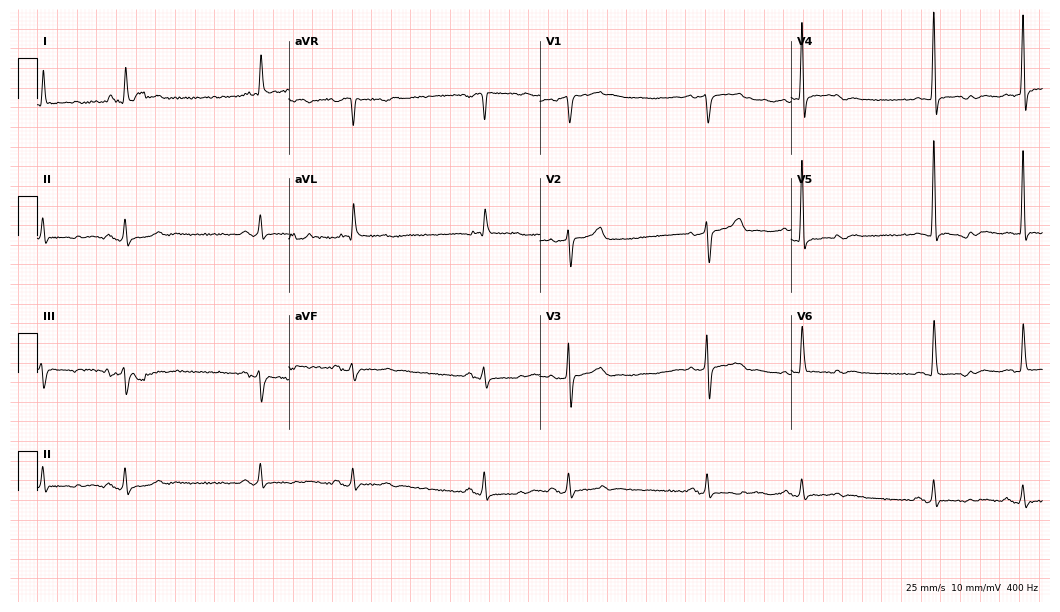
12-lead ECG (10.2-second recording at 400 Hz) from a male patient, 75 years old. Screened for six findings — first-degree AV block, right bundle branch block, left bundle branch block, sinus bradycardia, atrial fibrillation, sinus tachycardia — none is recorded.